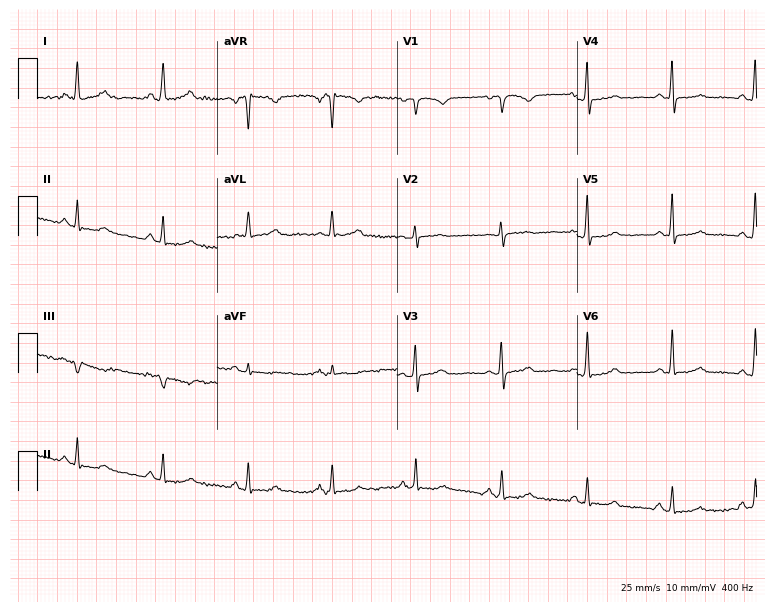
Resting 12-lead electrocardiogram. Patient: a 74-year-old female. None of these six findings is recorded: first-degree AV block, right bundle branch block, left bundle branch block, sinus bradycardia, atrial fibrillation, sinus tachycardia. Only these six findings were labelled.